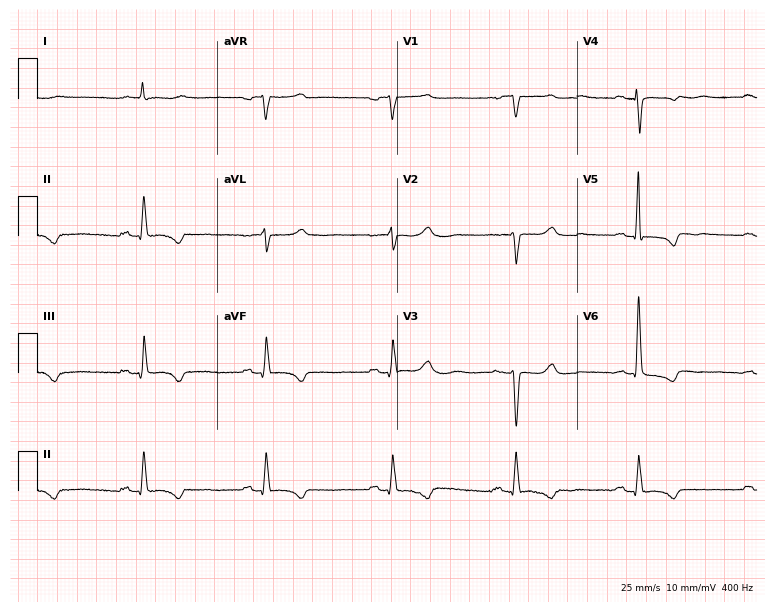
Standard 12-lead ECG recorded from a woman, 77 years old (7.3-second recording at 400 Hz). The tracing shows sinus bradycardia (a sinus rate of 50 beats per minute or less).